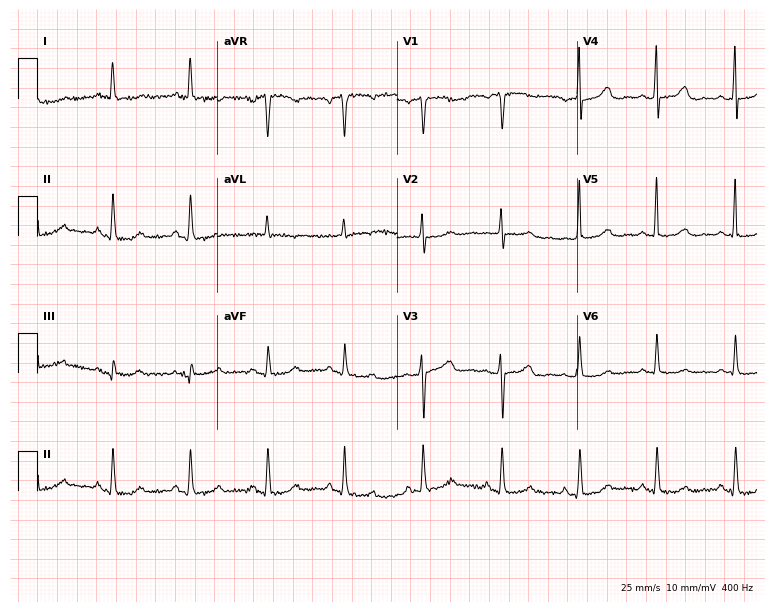
12-lead ECG from a man, 68 years old. Labelled as a normal ECG.